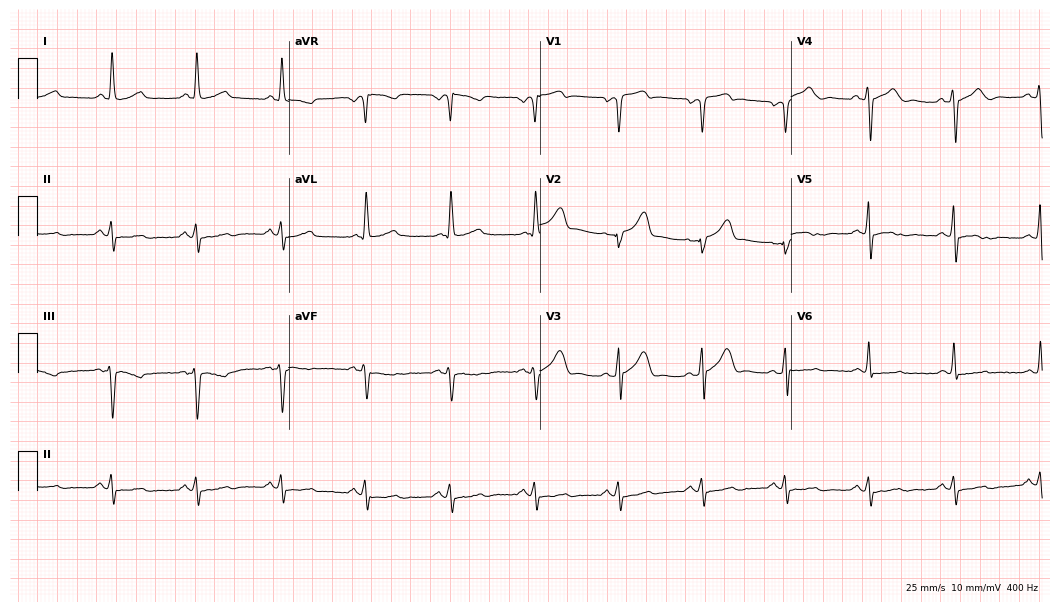
Standard 12-lead ECG recorded from a male, 62 years old (10.2-second recording at 400 Hz). None of these six findings is recorded: first-degree AV block, right bundle branch block (RBBB), left bundle branch block (LBBB), sinus bradycardia, atrial fibrillation (AF), sinus tachycardia.